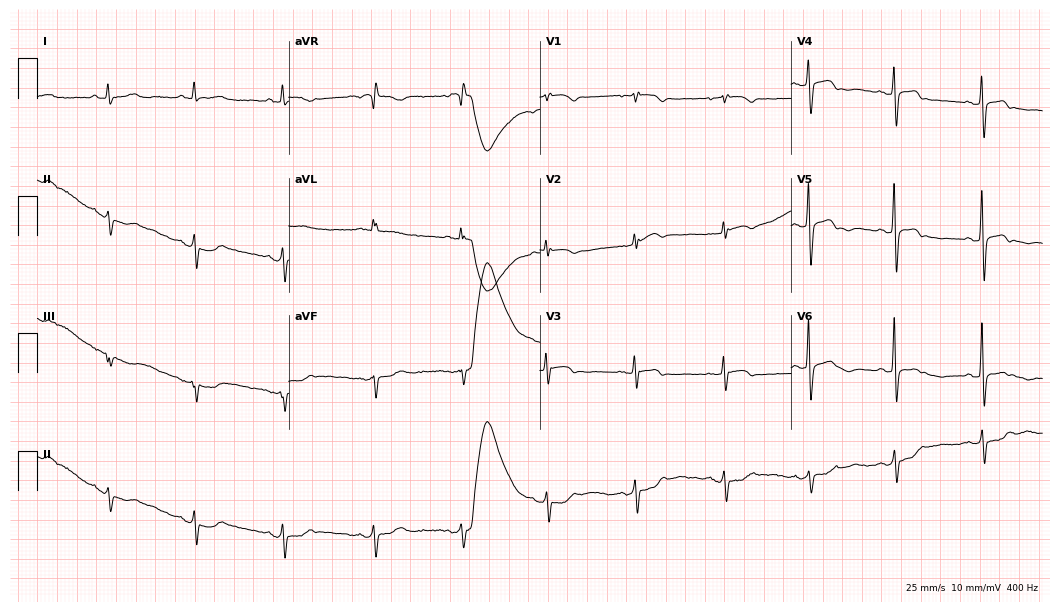
12-lead ECG from a female patient, 70 years old (10.2-second recording at 400 Hz). No first-degree AV block, right bundle branch block, left bundle branch block, sinus bradycardia, atrial fibrillation or sinus tachycardia recorded for this tracing. Other findings, if any, are not listed.